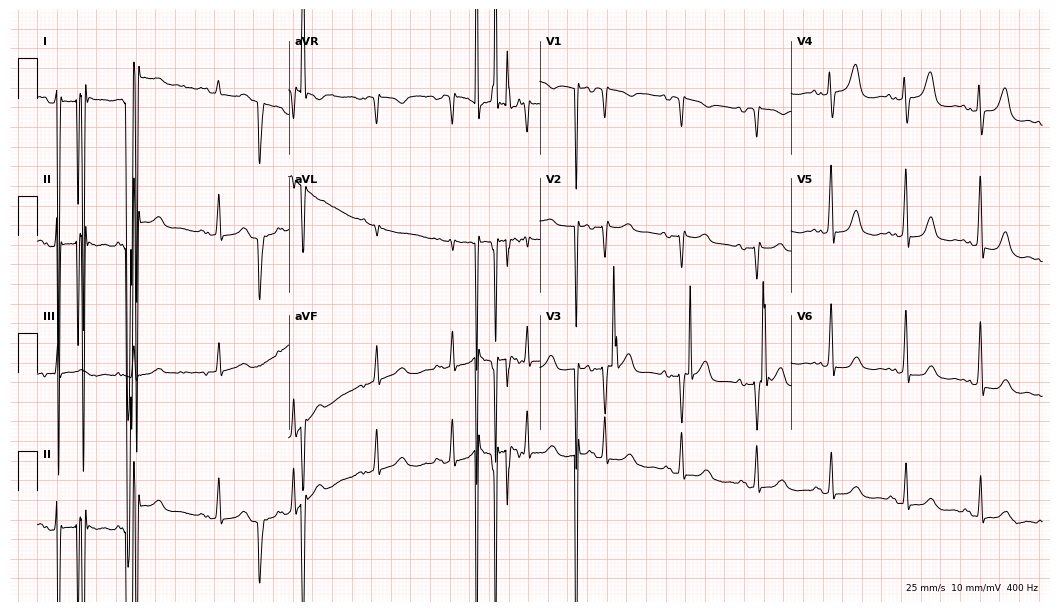
Resting 12-lead electrocardiogram. Patient: a female, 49 years old. None of these six findings is recorded: first-degree AV block, right bundle branch block, left bundle branch block, sinus bradycardia, atrial fibrillation, sinus tachycardia. Other findings, if any, are not listed.